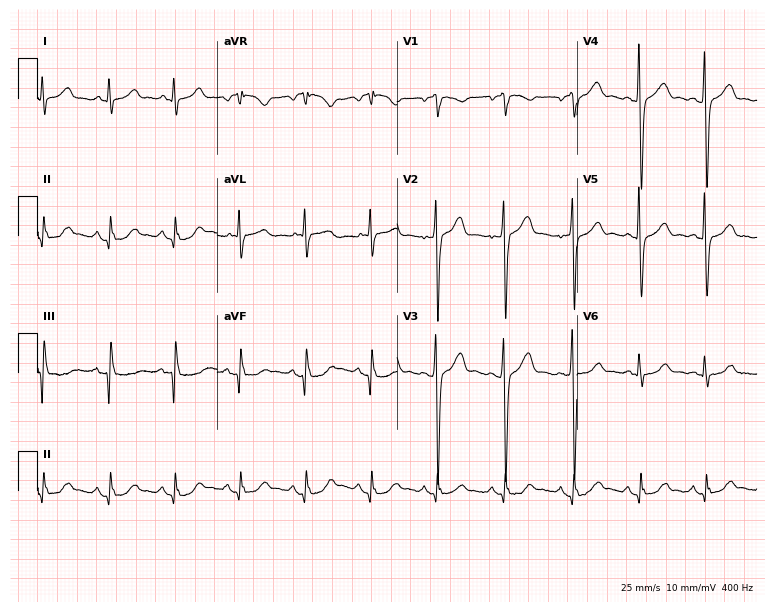
Resting 12-lead electrocardiogram. Patient: a 43-year-old male. Read as a normal ECG.